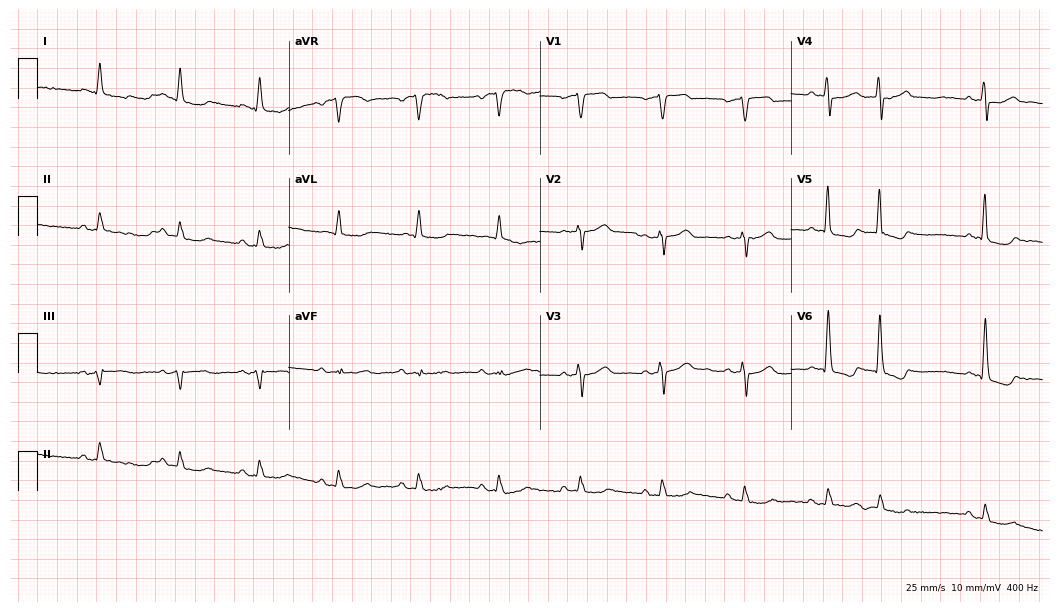
Standard 12-lead ECG recorded from a man, 79 years old. None of these six findings is recorded: first-degree AV block, right bundle branch block, left bundle branch block, sinus bradycardia, atrial fibrillation, sinus tachycardia.